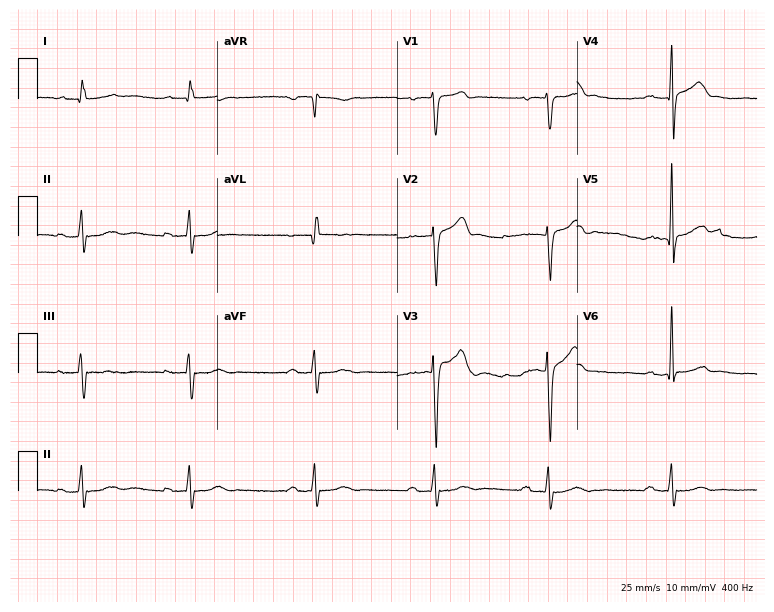
12-lead ECG from a man, 66 years old (7.3-second recording at 400 Hz). Shows first-degree AV block, sinus bradycardia (a sinus rate of 50 beats per minute or less).